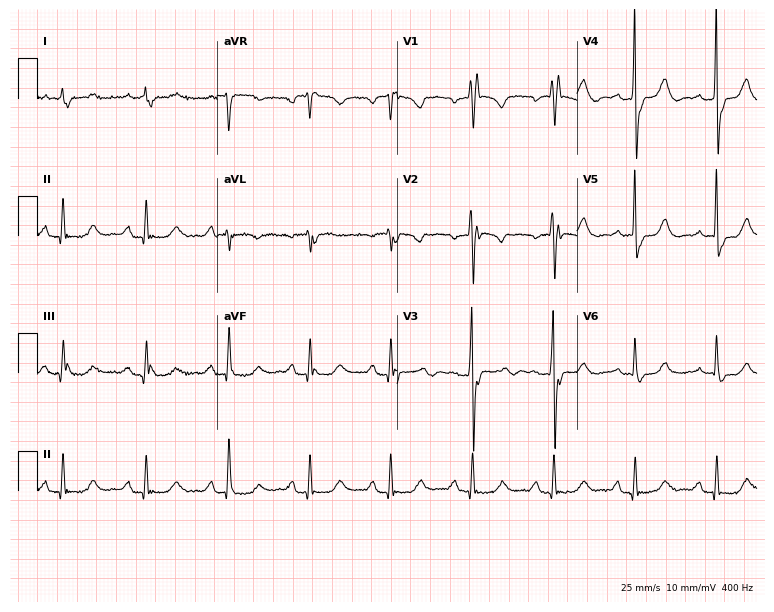
Electrocardiogram (7.3-second recording at 400 Hz), a female, 78 years old. Of the six screened findings (first-degree AV block, right bundle branch block (RBBB), left bundle branch block (LBBB), sinus bradycardia, atrial fibrillation (AF), sinus tachycardia), none is recorded.